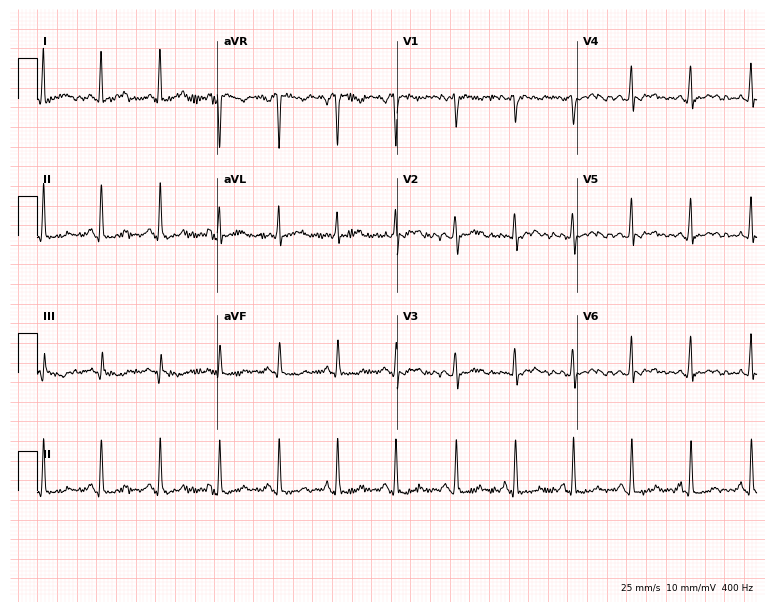
Standard 12-lead ECG recorded from a 36-year-old woman. None of these six findings is recorded: first-degree AV block, right bundle branch block, left bundle branch block, sinus bradycardia, atrial fibrillation, sinus tachycardia.